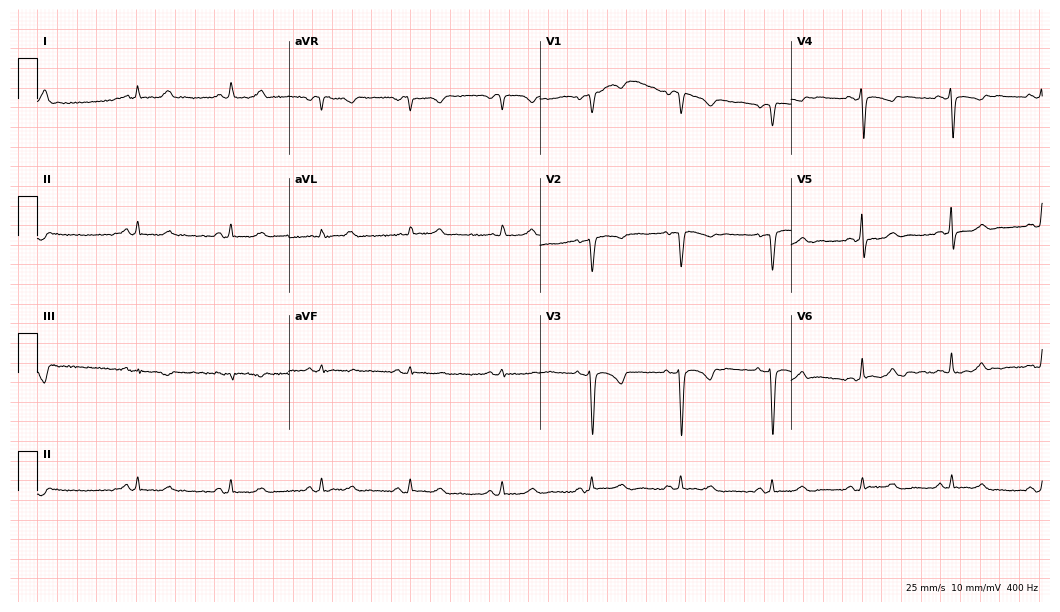
Resting 12-lead electrocardiogram (10.2-second recording at 400 Hz). Patient: a 52-year-old female. None of these six findings is recorded: first-degree AV block, right bundle branch block (RBBB), left bundle branch block (LBBB), sinus bradycardia, atrial fibrillation (AF), sinus tachycardia.